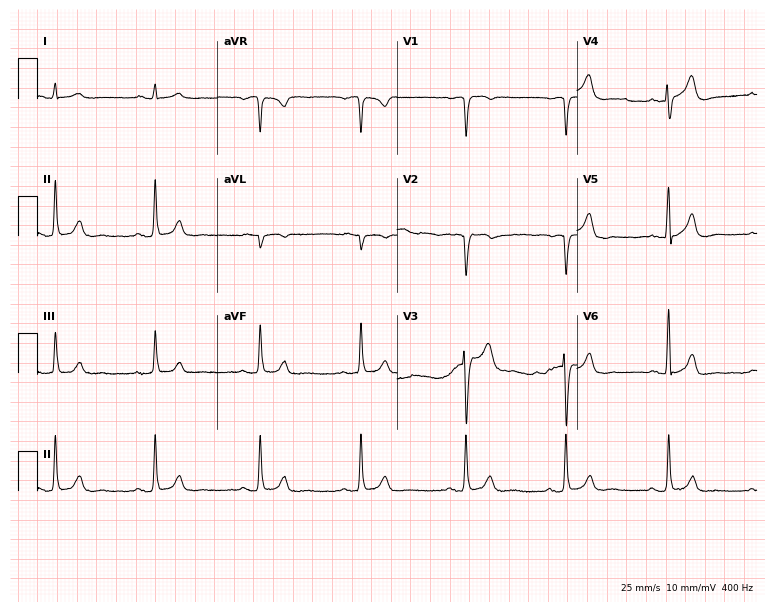
12-lead ECG from a male, 57 years old. No first-degree AV block, right bundle branch block (RBBB), left bundle branch block (LBBB), sinus bradycardia, atrial fibrillation (AF) or sinus tachycardia recorded for this tracing. Other findings, if any, are not listed.